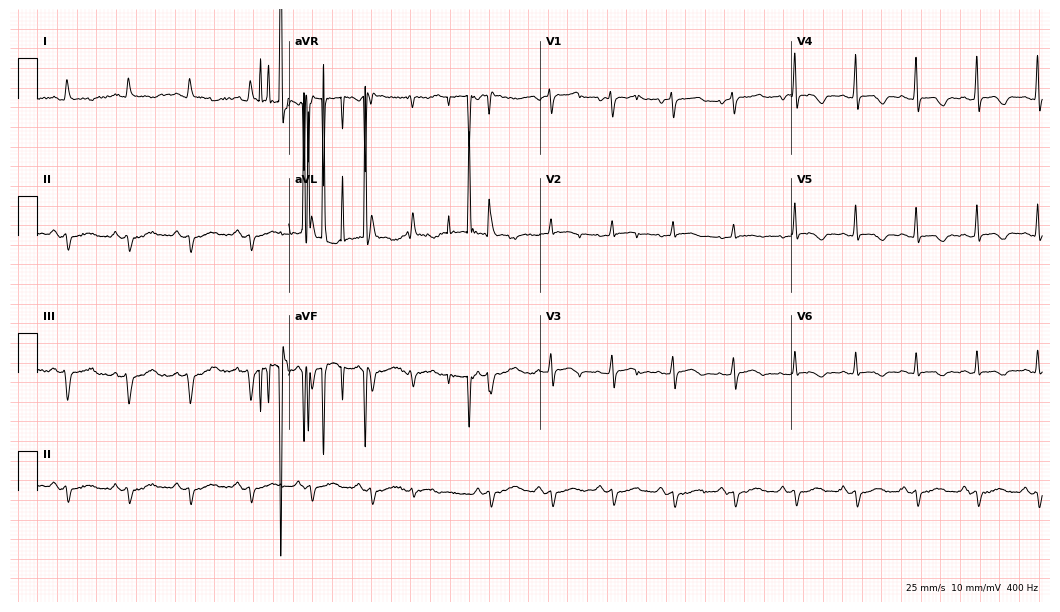
Resting 12-lead electrocardiogram (10.2-second recording at 400 Hz). Patient: a woman, 84 years old. None of these six findings is recorded: first-degree AV block, right bundle branch block, left bundle branch block, sinus bradycardia, atrial fibrillation, sinus tachycardia.